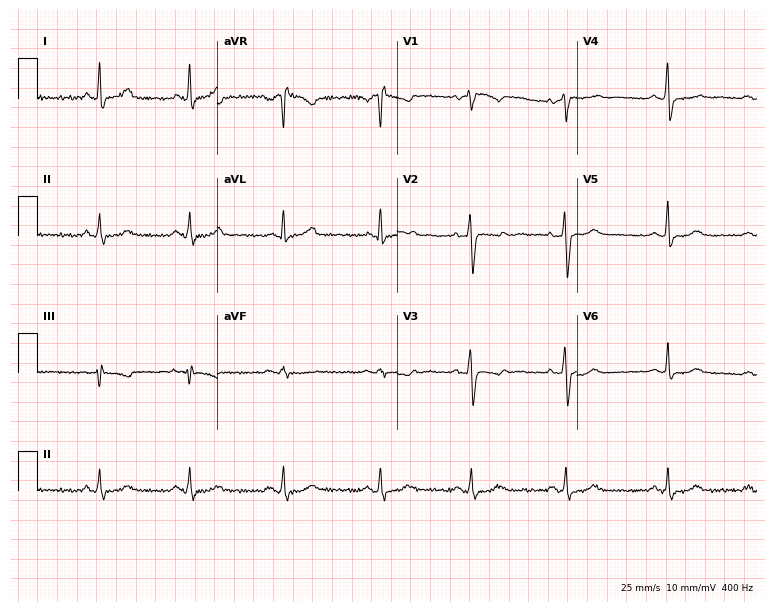
ECG — a female, 37 years old. Screened for six findings — first-degree AV block, right bundle branch block, left bundle branch block, sinus bradycardia, atrial fibrillation, sinus tachycardia — none is recorded. Findings outside these six are not listed.